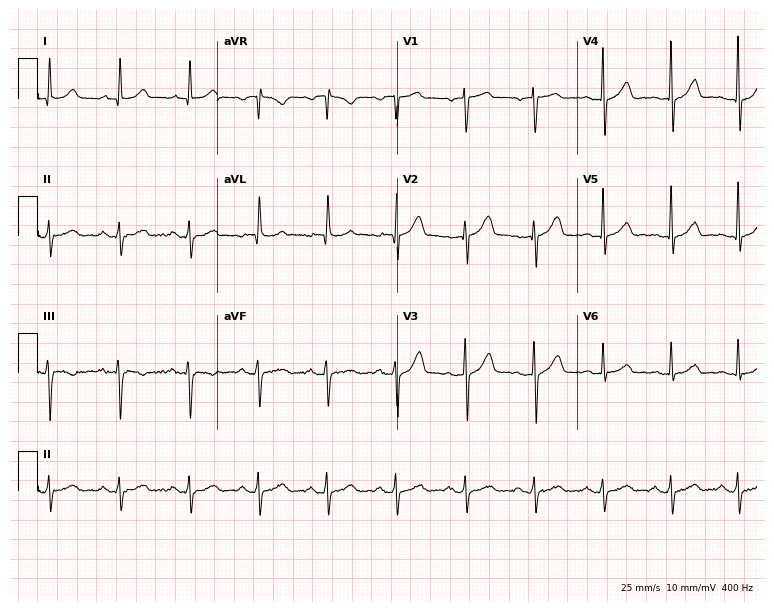
12-lead ECG from a male, 49 years old. Screened for six findings — first-degree AV block, right bundle branch block, left bundle branch block, sinus bradycardia, atrial fibrillation, sinus tachycardia — none is recorded. Findings outside these six are not listed.